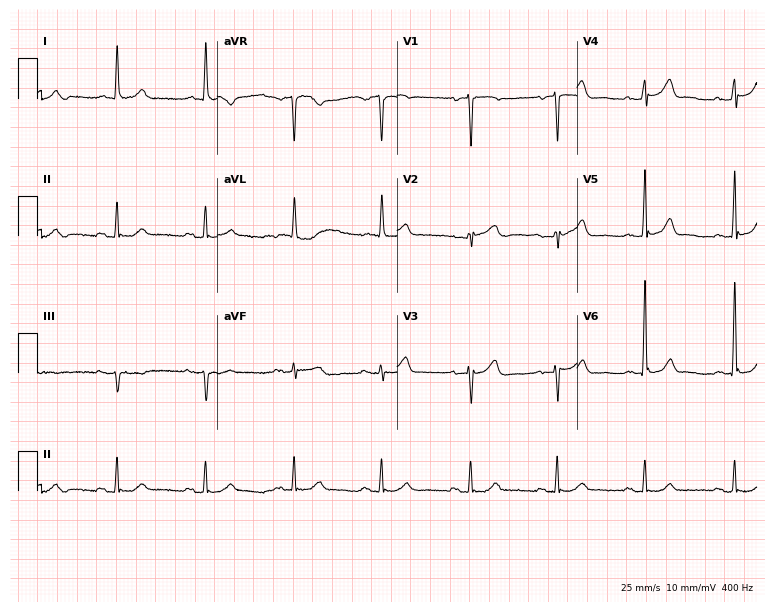
ECG (7.3-second recording at 400 Hz) — an 81-year-old female. Labelled as a normal ECG.